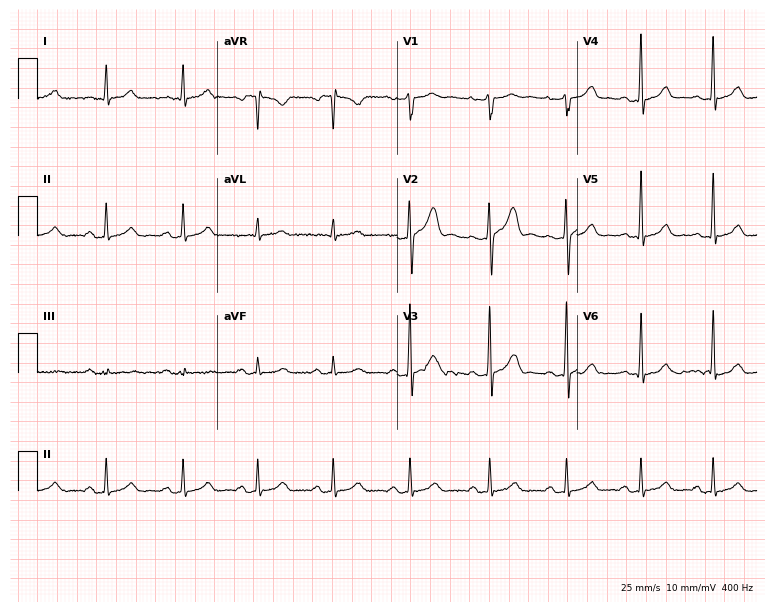
12-lead ECG (7.3-second recording at 400 Hz) from a male, 28 years old. Labelled as a normal ECG.